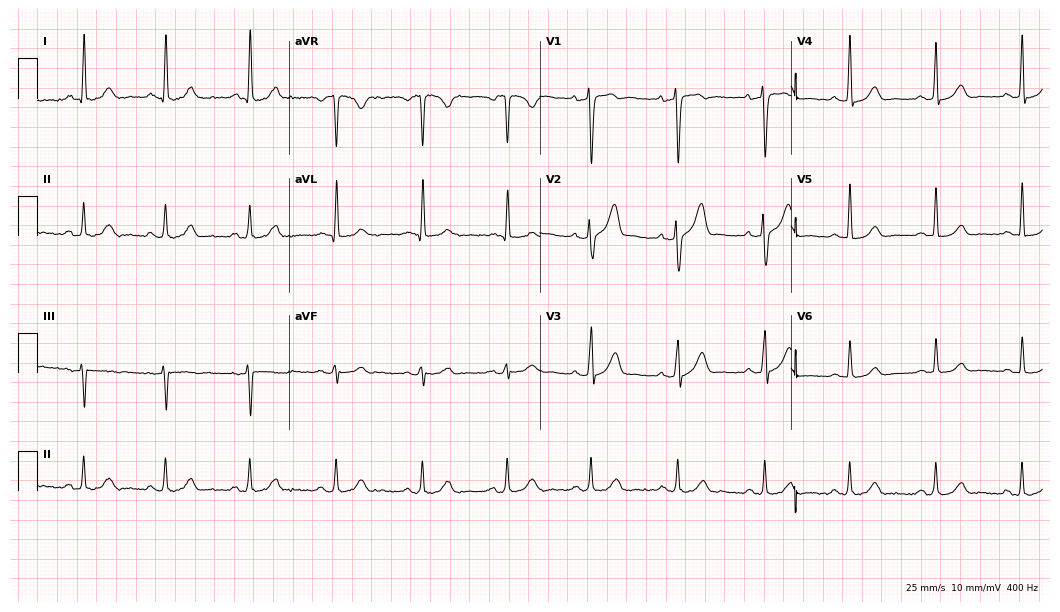
Resting 12-lead electrocardiogram. Patient: a man, 46 years old. Read as a normal ECG.